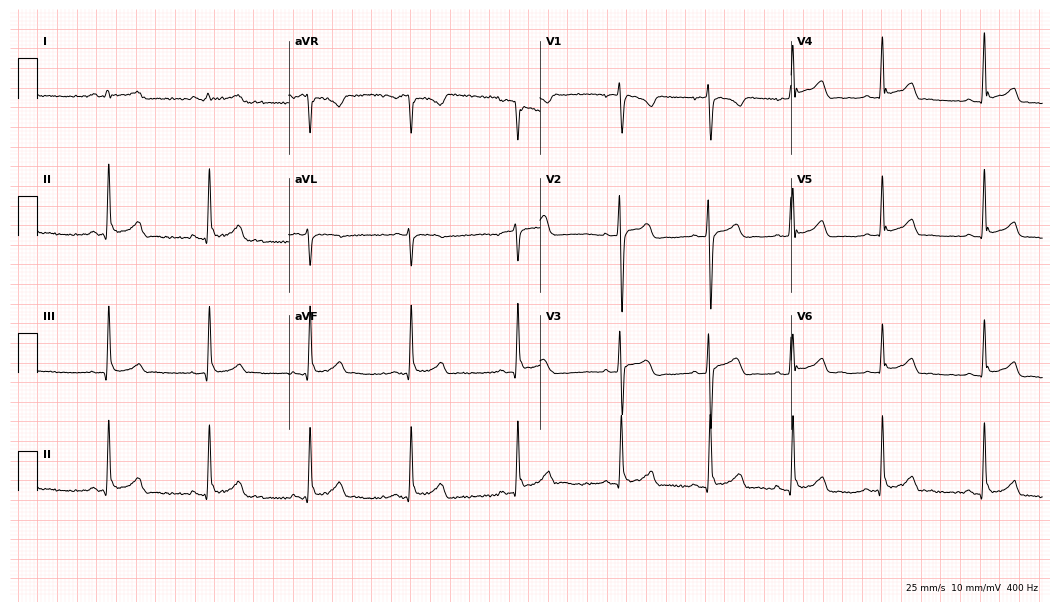
ECG — a 19-year-old male. Labelled as a normal ECG.